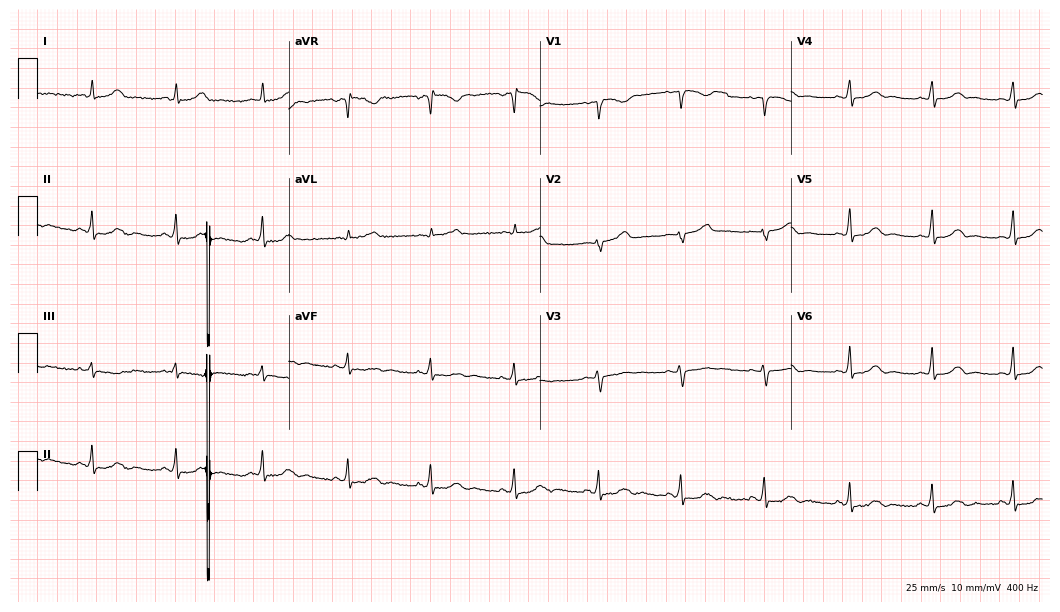
Electrocardiogram (10.2-second recording at 400 Hz), a female, 35 years old. Of the six screened findings (first-degree AV block, right bundle branch block, left bundle branch block, sinus bradycardia, atrial fibrillation, sinus tachycardia), none is recorded. Other findings, if any, are not listed.